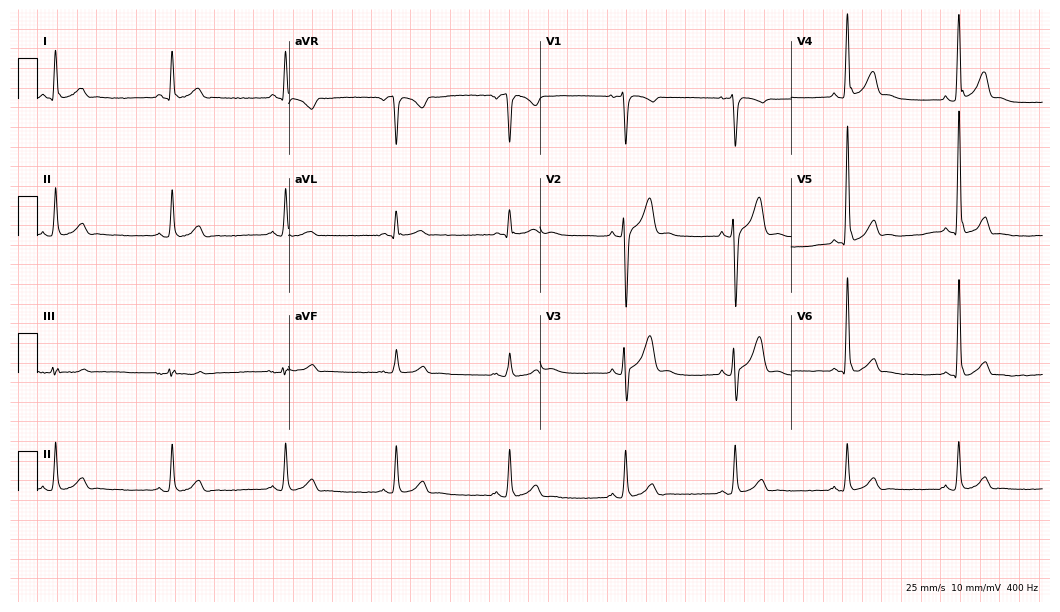
Standard 12-lead ECG recorded from a 25-year-old male patient (10.2-second recording at 400 Hz). None of these six findings is recorded: first-degree AV block, right bundle branch block, left bundle branch block, sinus bradycardia, atrial fibrillation, sinus tachycardia. Only these six findings were labelled.